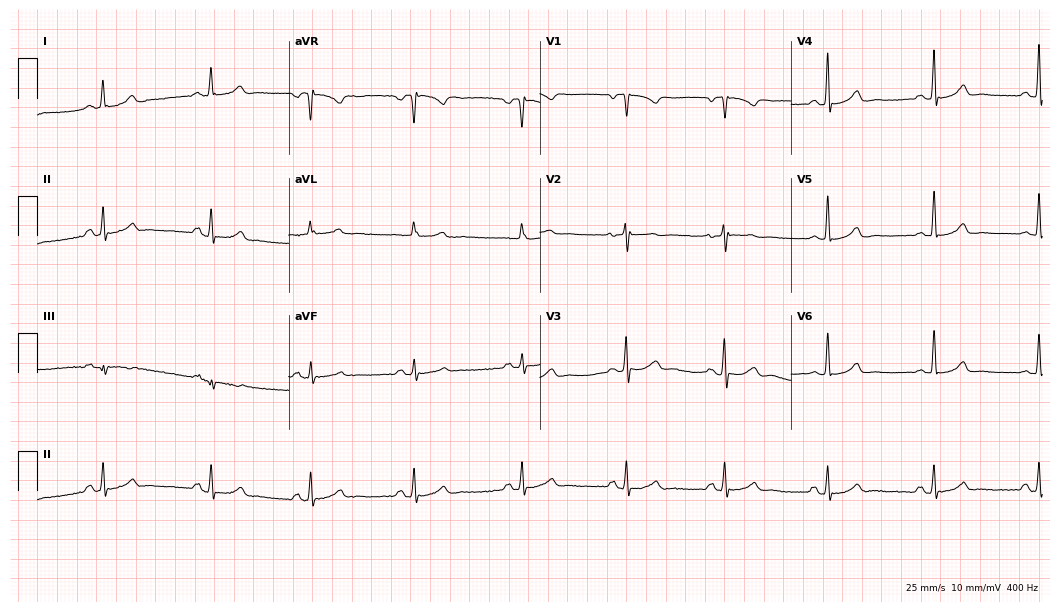
Standard 12-lead ECG recorded from a 38-year-old female patient (10.2-second recording at 400 Hz). Read as a normal ECG.